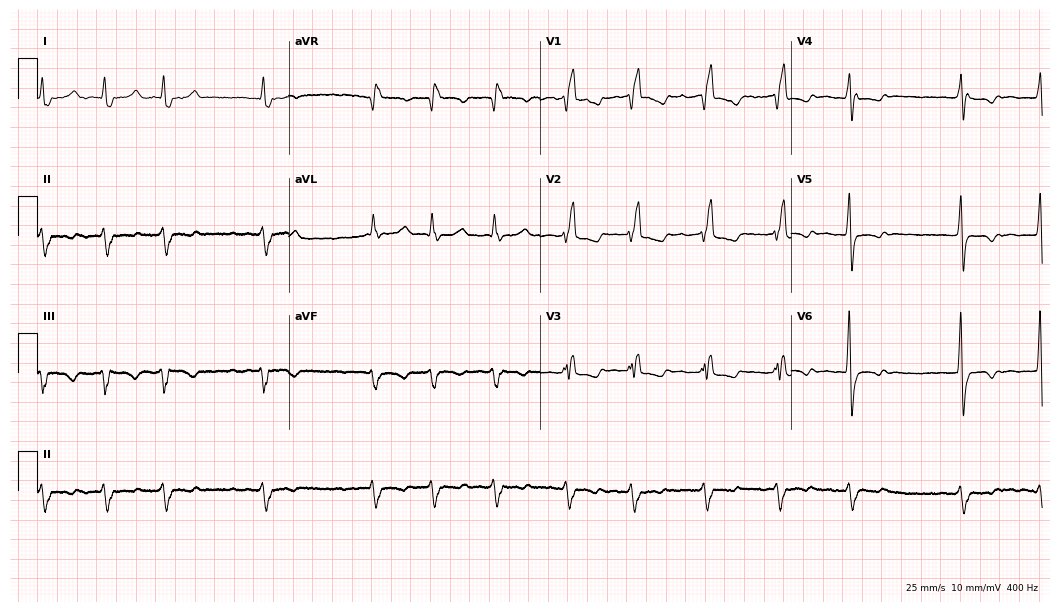
Resting 12-lead electrocardiogram (10.2-second recording at 400 Hz). Patient: a 74-year-old female. The tracing shows first-degree AV block, right bundle branch block (RBBB), atrial fibrillation (AF).